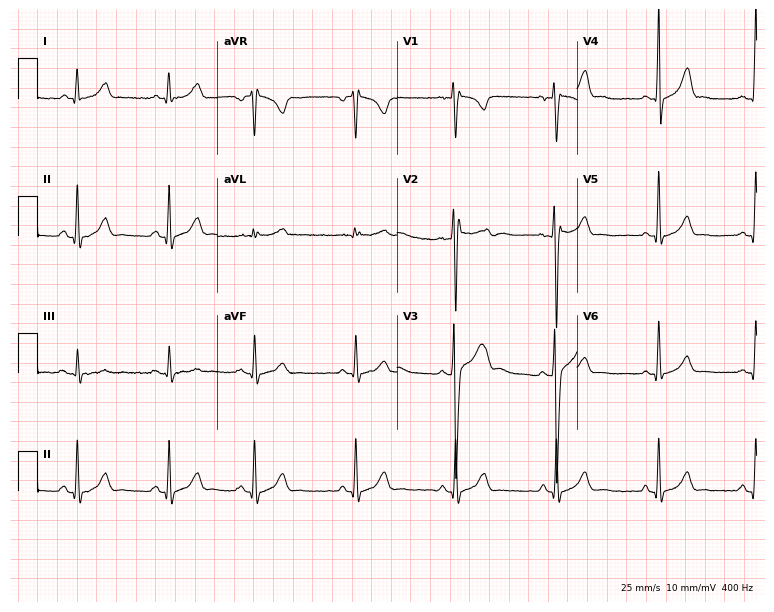
12-lead ECG (7.3-second recording at 400 Hz) from a man, 17 years old. Labelled as a normal ECG.